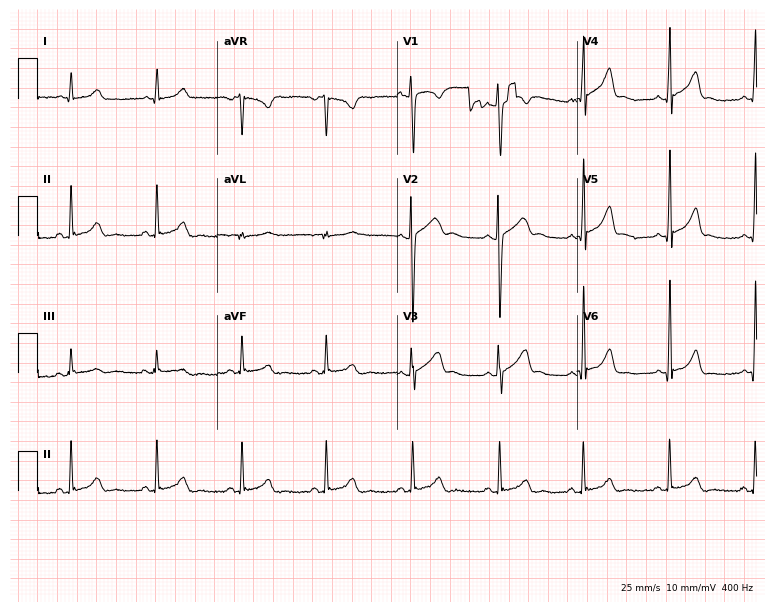
12-lead ECG from a male, 22 years old (7.3-second recording at 400 Hz). Recorded interpretation: within normal limits.